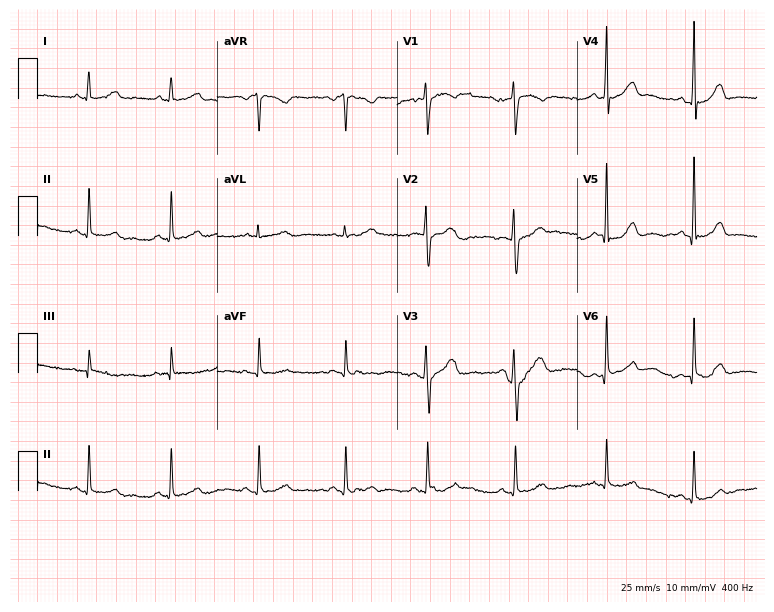
Resting 12-lead electrocardiogram (7.3-second recording at 400 Hz). Patient: a woman, 29 years old. None of these six findings is recorded: first-degree AV block, right bundle branch block (RBBB), left bundle branch block (LBBB), sinus bradycardia, atrial fibrillation (AF), sinus tachycardia.